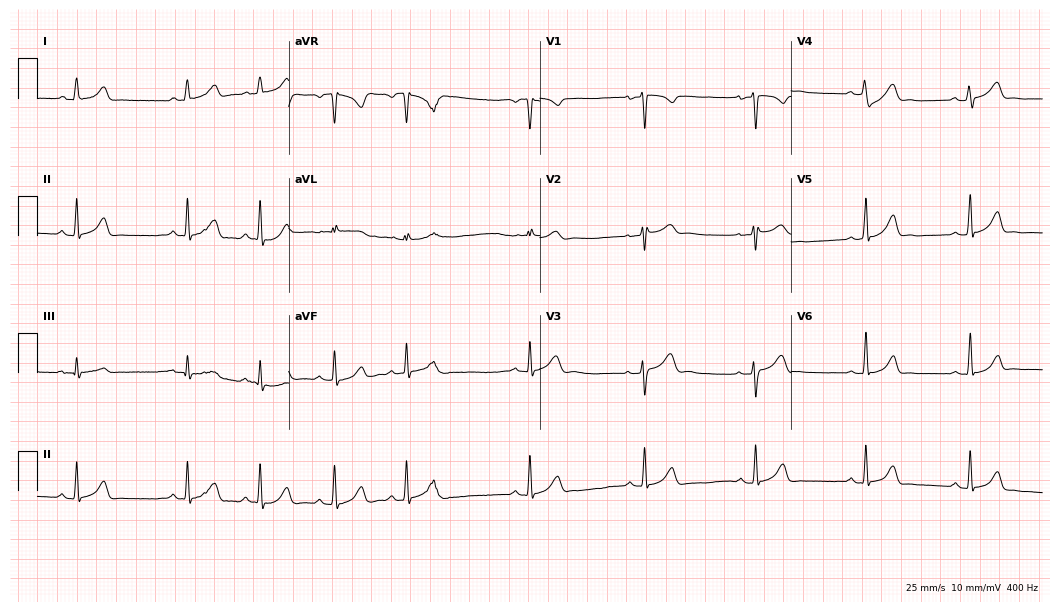
Resting 12-lead electrocardiogram (10.2-second recording at 400 Hz). Patient: a 20-year-old female. Read as a normal ECG.